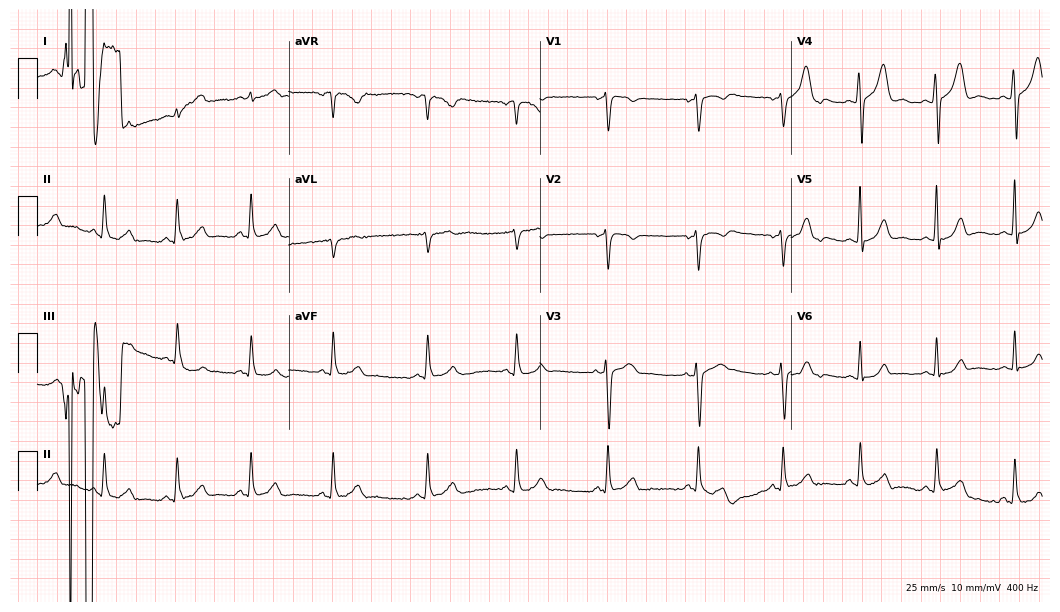
12-lead ECG from a 28-year-old male. Labelled as a normal ECG.